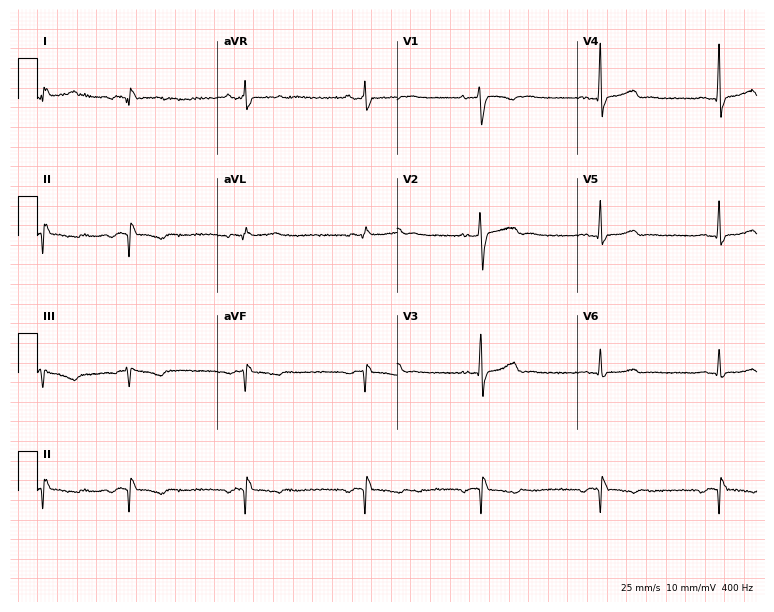
Electrocardiogram (7.3-second recording at 400 Hz), a female patient, 22 years old. Of the six screened findings (first-degree AV block, right bundle branch block (RBBB), left bundle branch block (LBBB), sinus bradycardia, atrial fibrillation (AF), sinus tachycardia), none is recorded. Findings outside these six are not listed.